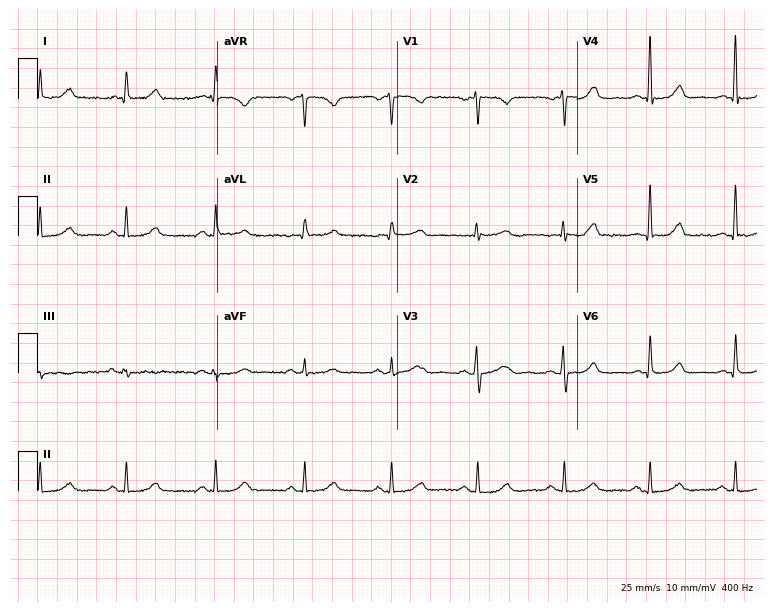
12-lead ECG (7.3-second recording at 400 Hz) from a woman, 55 years old. Screened for six findings — first-degree AV block, right bundle branch block, left bundle branch block, sinus bradycardia, atrial fibrillation, sinus tachycardia — none is recorded.